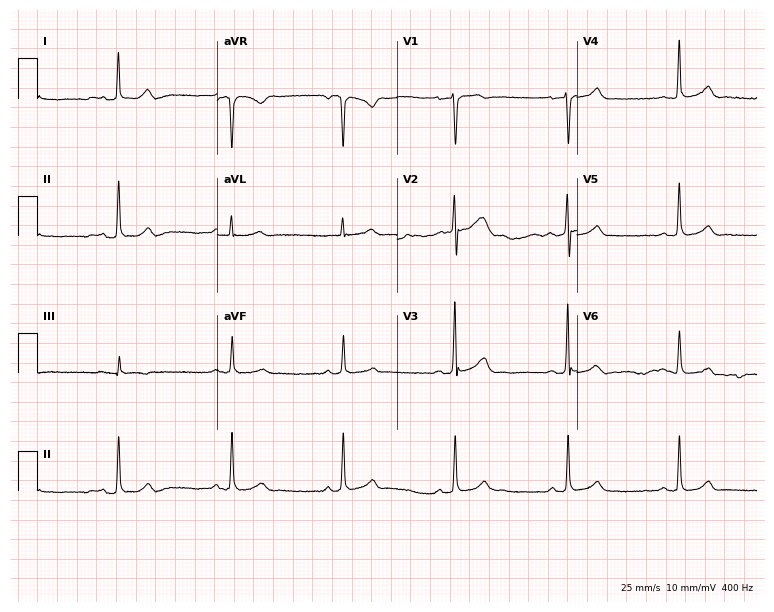
ECG (7.3-second recording at 400 Hz) — a 55-year-old man. Labelled as a normal ECG.